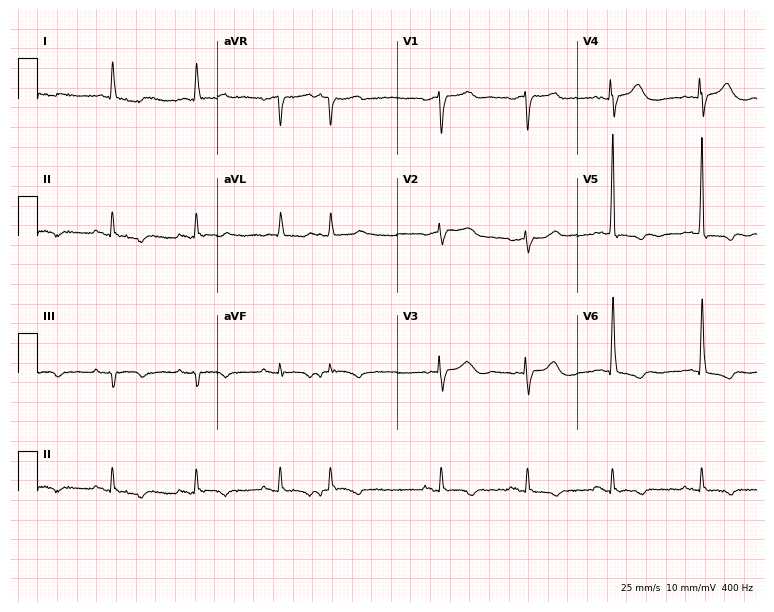
Electrocardiogram, an 80-year-old female patient. Of the six screened findings (first-degree AV block, right bundle branch block (RBBB), left bundle branch block (LBBB), sinus bradycardia, atrial fibrillation (AF), sinus tachycardia), none is recorded. Other findings, if any, are not listed.